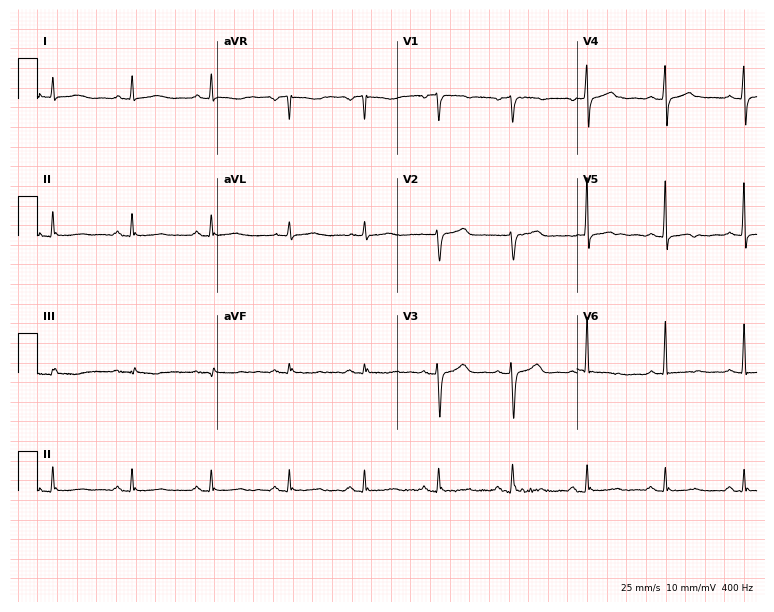
ECG (7.3-second recording at 400 Hz) — a female, 63 years old. Screened for six findings — first-degree AV block, right bundle branch block (RBBB), left bundle branch block (LBBB), sinus bradycardia, atrial fibrillation (AF), sinus tachycardia — none is recorded.